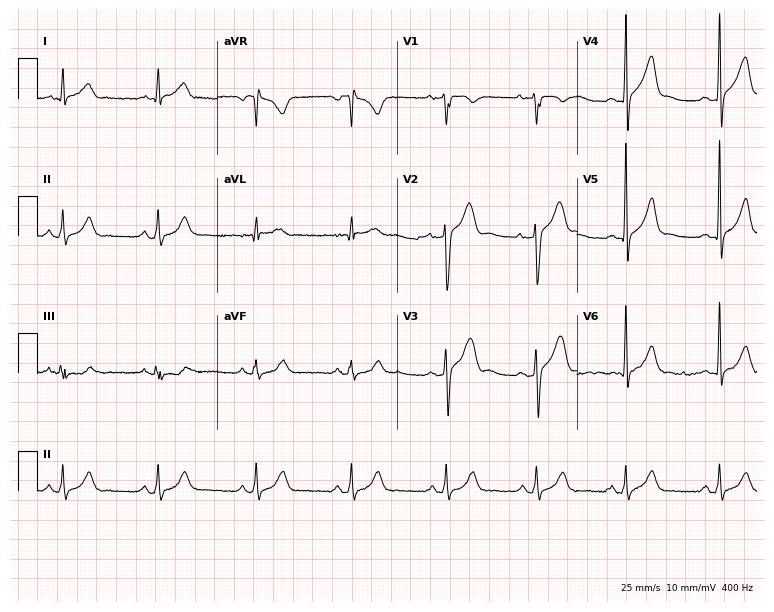
Standard 12-lead ECG recorded from a man, 30 years old (7.3-second recording at 400 Hz). Read as a normal ECG.